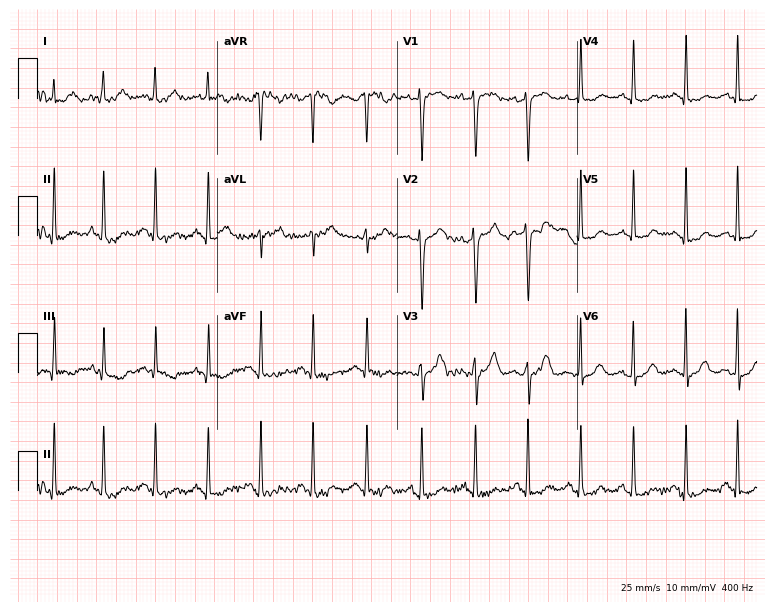
ECG (7.3-second recording at 400 Hz) — a 38-year-old female patient. Findings include sinus tachycardia (a sinus rate of 100 beats per minute or more).